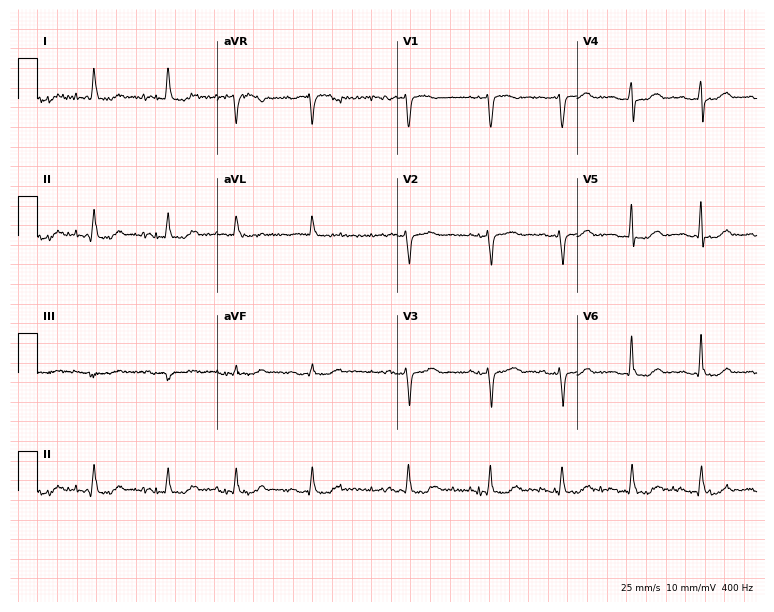
ECG — a woman, 85 years old. Screened for six findings — first-degree AV block, right bundle branch block (RBBB), left bundle branch block (LBBB), sinus bradycardia, atrial fibrillation (AF), sinus tachycardia — none is recorded.